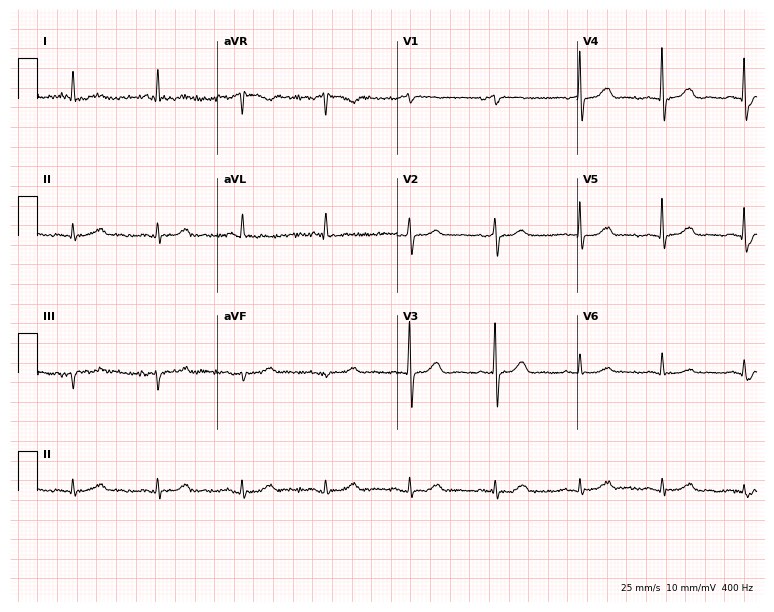
12-lead ECG from a woman, 84 years old (7.3-second recording at 400 Hz). No first-degree AV block, right bundle branch block, left bundle branch block, sinus bradycardia, atrial fibrillation or sinus tachycardia recorded for this tracing.